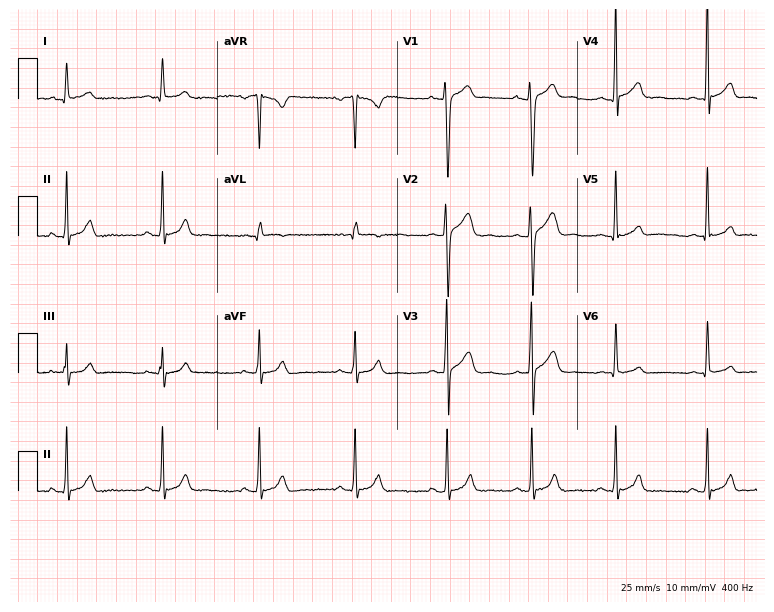
12-lead ECG from a 19-year-old male (7.3-second recording at 400 Hz). No first-degree AV block, right bundle branch block (RBBB), left bundle branch block (LBBB), sinus bradycardia, atrial fibrillation (AF) or sinus tachycardia recorded for this tracing. Other findings, if any, are not listed.